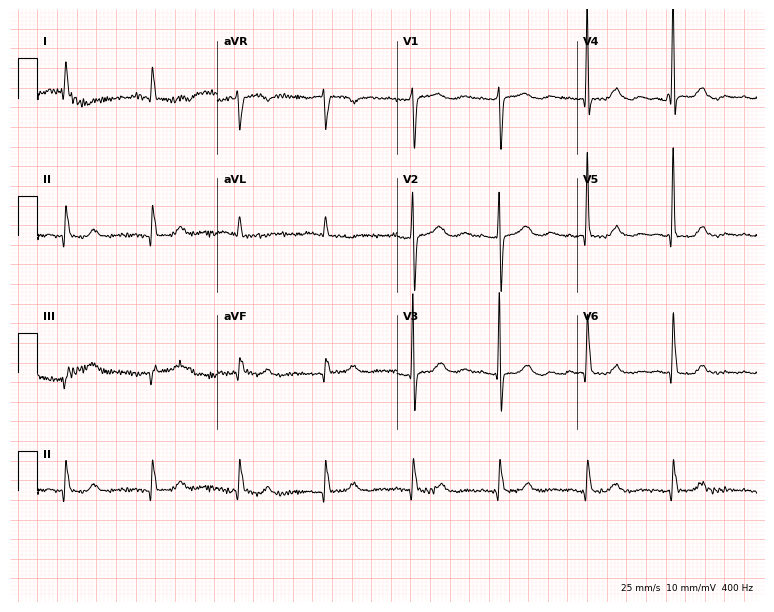
12-lead ECG from an 80-year-old female patient (7.3-second recording at 400 Hz). No first-degree AV block, right bundle branch block, left bundle branch block, sinus bradycardia, atrial fibrillation or sinus tachycardia recorded for this tracing. Findings outside these six are not listed.